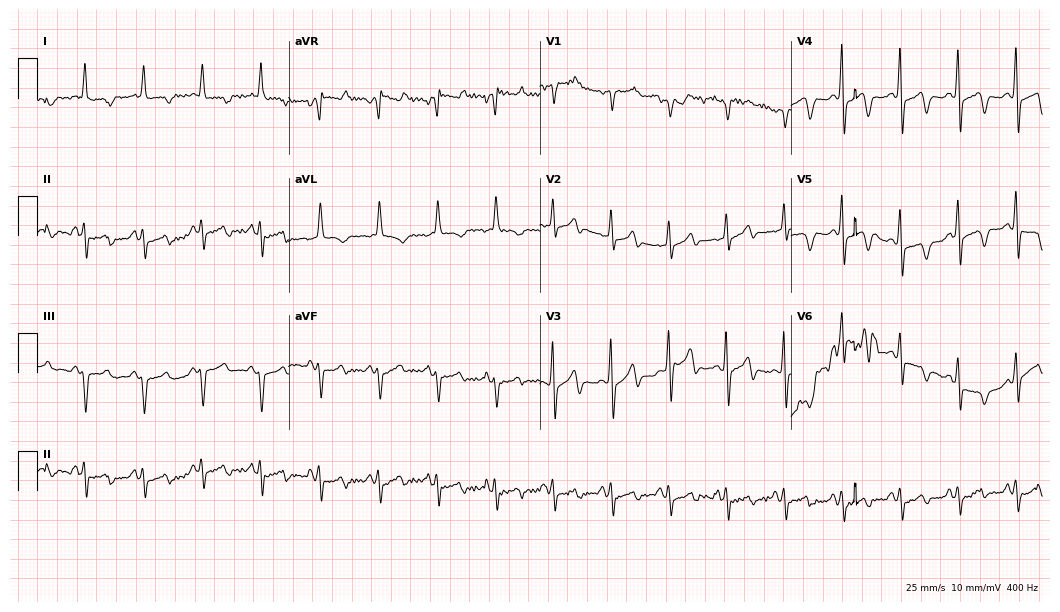
Electrocardiogram, a female patient, 65 years old. Of the six screened findings (first-degree AV block, right bundle branch block, left bundle branch block, sinus bradycardia, atrial fibrillation, sinus tachycardia), none is recorded.